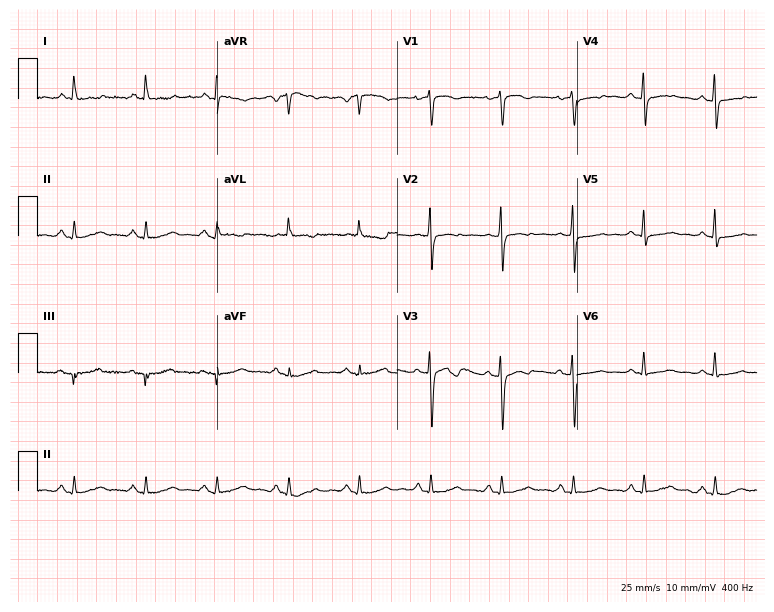
Standard 12-lead ECG recorded from a female patient, 75 years old. None of these six findings is recorded: first-degree AV block, right bundle branch block (RBBB), left bundle branch block (LBBB), sinus bradycardia, atrial fibrillation (AF), sinus tachycardia.